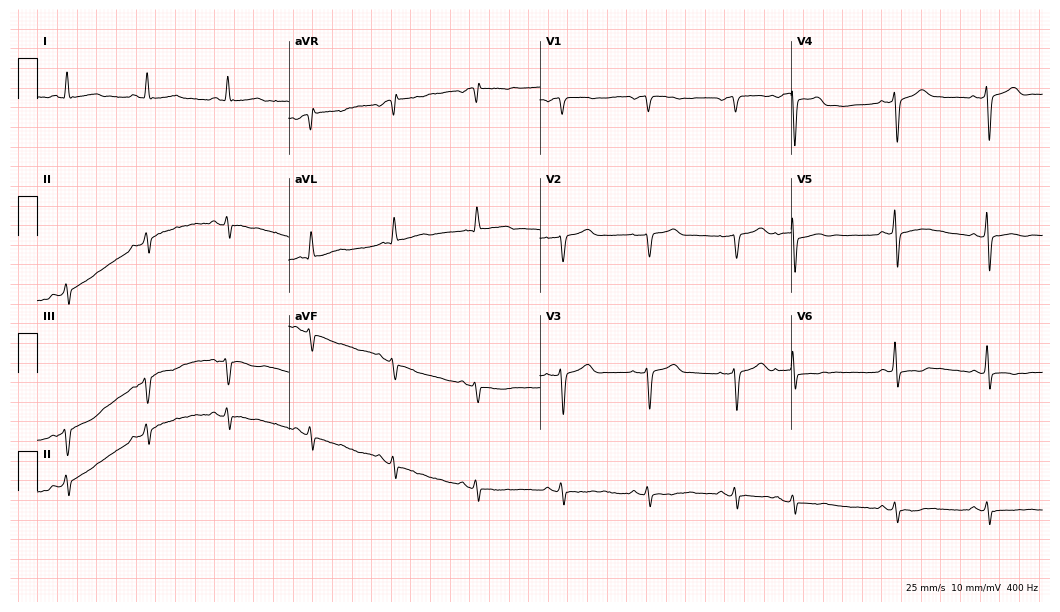
Electrocardiogram (10.2-second recording at 400 Hz), a male patient, 82 years old. Of the six screened findings (first-degree AV block, right bundle branch block, left bundle branch block, sinus bradycardia, atrial fibrillation, sinus tachycardia), none is recorded.